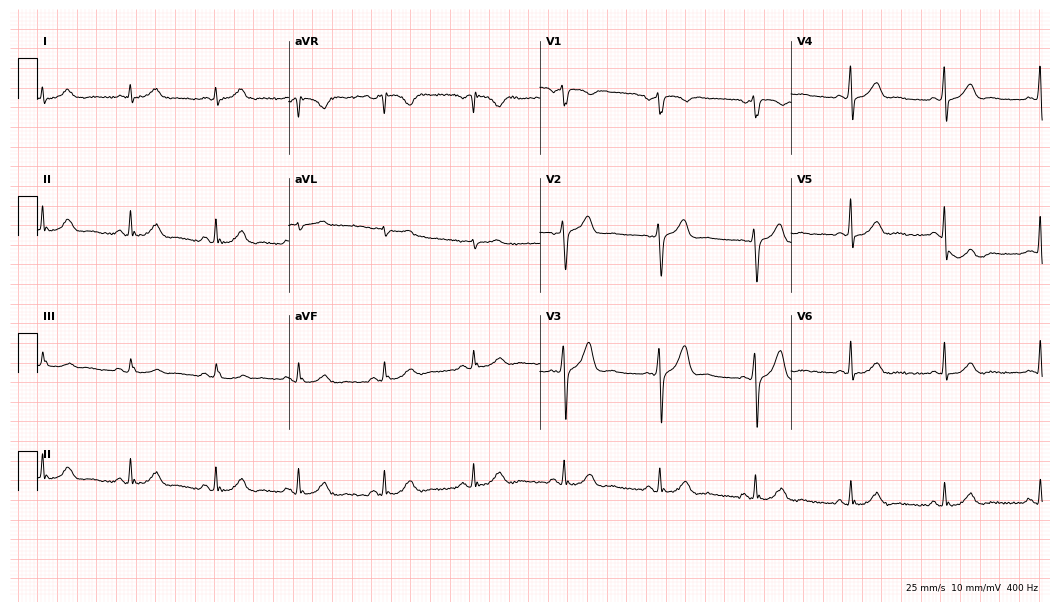
12-lead ECG (10.2-second recording at 400 Hz) from a man, 56 years old. Labelled as a normal ECG.